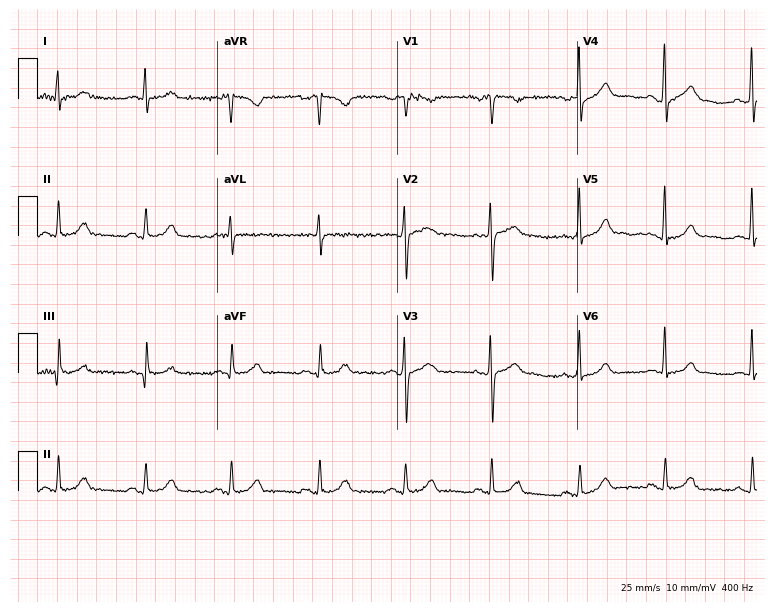
12-lead ECG from a 48-year-old male patient. Labelled as a normal ECG.